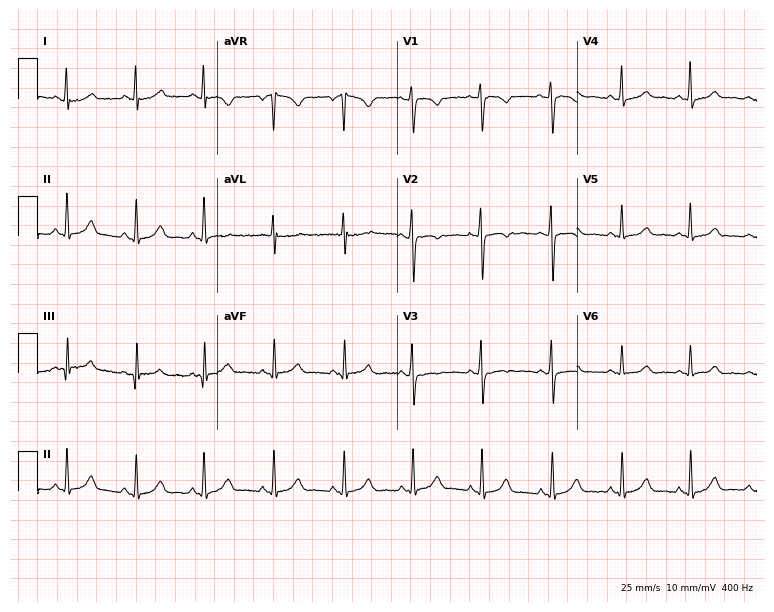
Resting 12-lead electrocardiogram. Patient: a 26-year-old female. None of these six findings is recorded: first-degree AV block, right bundle branch block, left bundle branch block, sinus bradycardia, atrial fibrillation, sinus tachycardia. Findings outside these six are not listed.